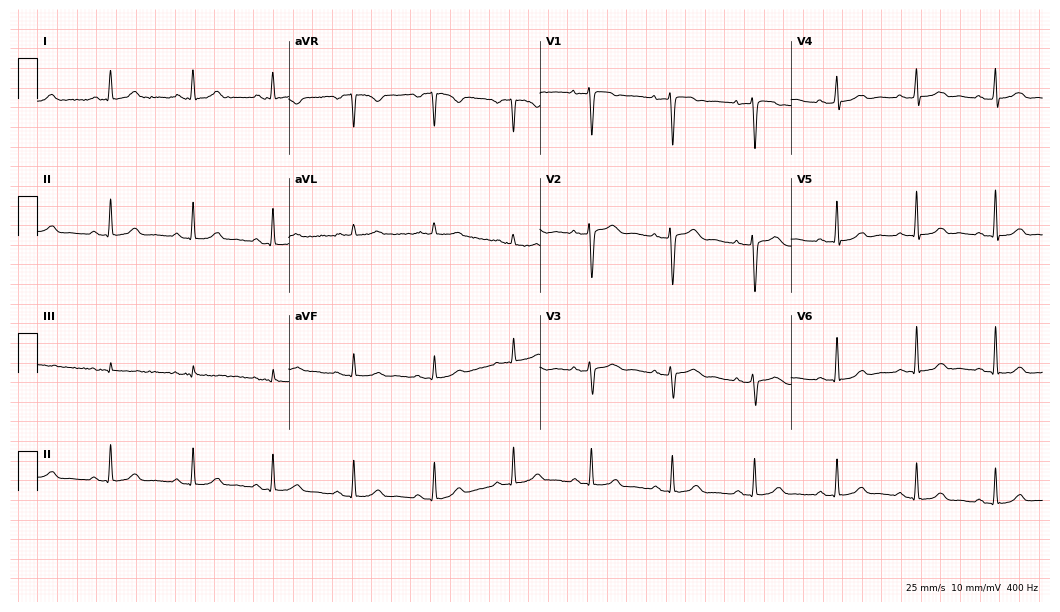
12-lead ECG (10.2-second recording at 400 Hz) from a 45-year-old female patient. Labelled as a normal ECG.